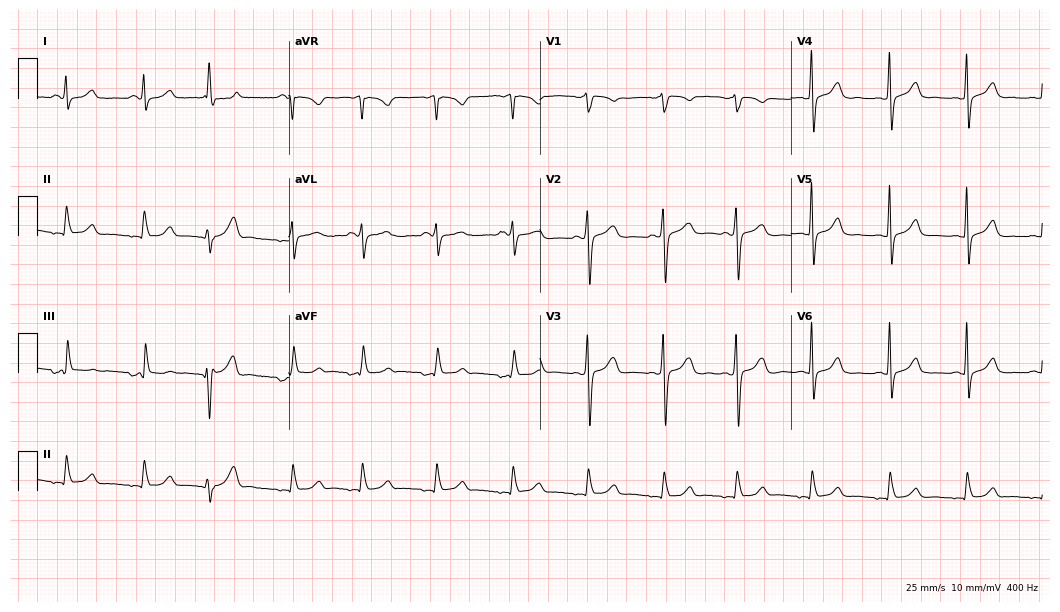
Resting 12-lead electrocardiogram. Patient: a 48-year-old woman. None of these six findings is recorded: first-degree AV block, right bundle branch block, left bundle branch block, sinus bradycardia, atrial fibrillation, sinus tachycardia. Only these six findings were labelled.